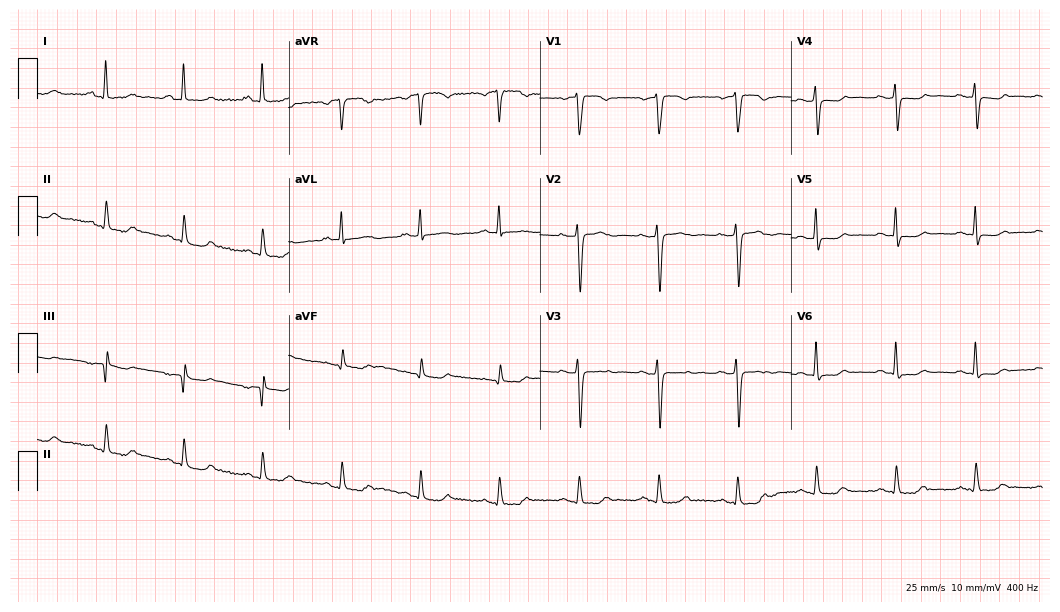
12-lead ECG from a 63-year-old woman. Screened for six findings — first-degree AV block, right bundle branch block, left bundle branch block, sinus bradycardia, atrial fibrillation, sinus tachycardia — none is recorded. Other findings, if any, are not listed.